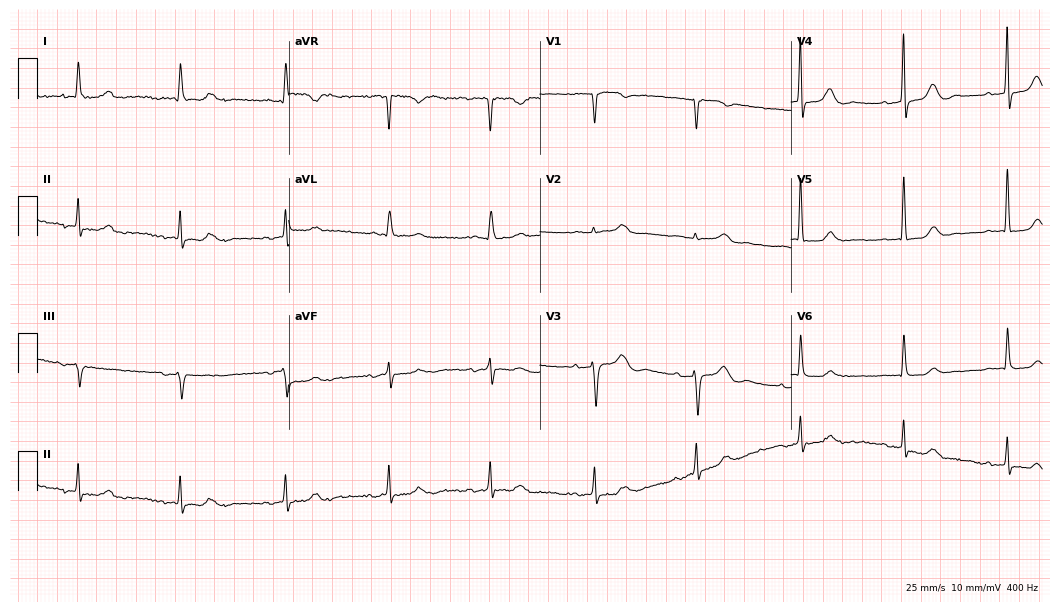
12-lead ECG from a woman, 78 years old. No first-degree AV block, right bundle branch block, left bundle branch block, sinus bradycardia, atrial fibrillation or sinus tachycardia recorded for this tracing. Other findings, if any, are not listed.